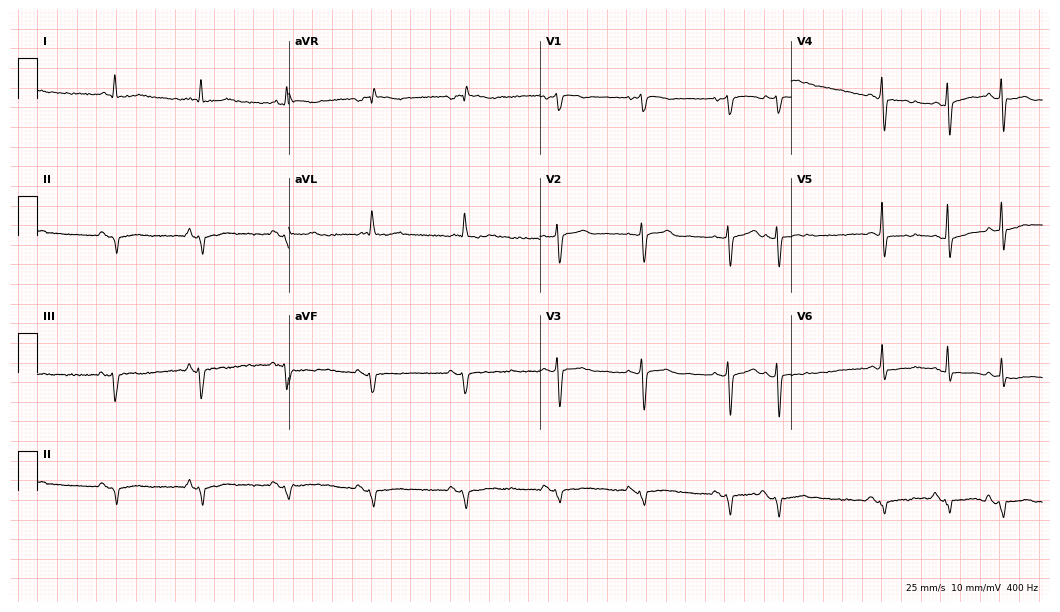
12-lead ECG from a male patient, 71 years old (10.2-second recording at 400 Hz). Recorded interpretation: within normal limits.